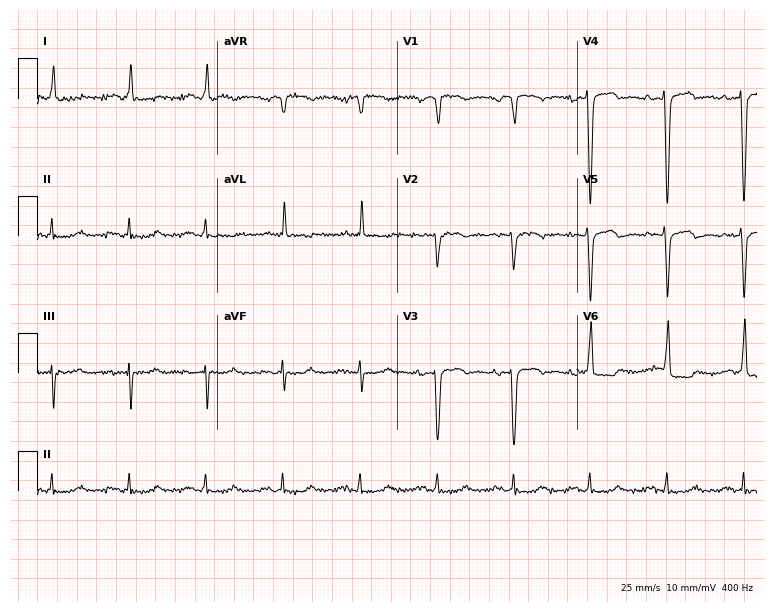
12-lead ECG from a 59-year-old male patient. Screened for six findings — first-degree AV block, right bundle branch block, left bundle branch block, sinus bradycardia, atrial fibrillation, sinus tachycardia — none is recorded.